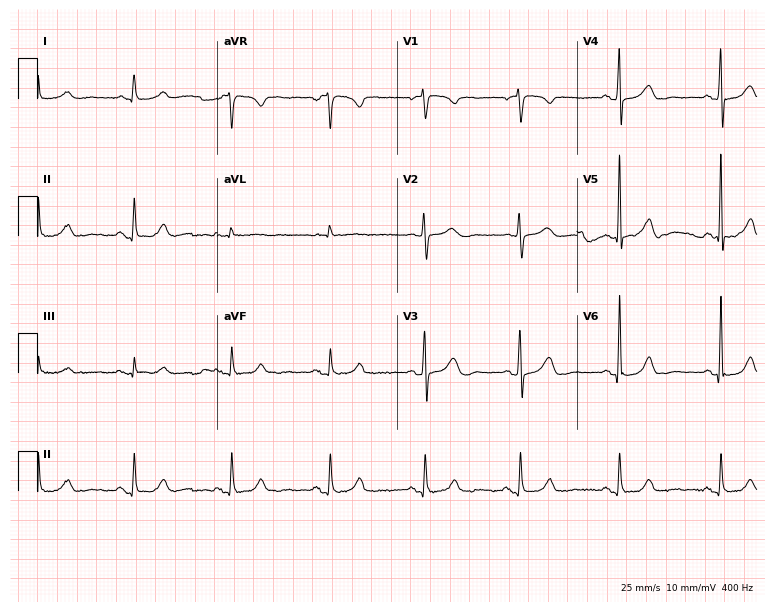
12-lead ECG from a 60-year-old female patient (7.3-second recording at 400 Hz). Recorded interpretation: within normal limits.